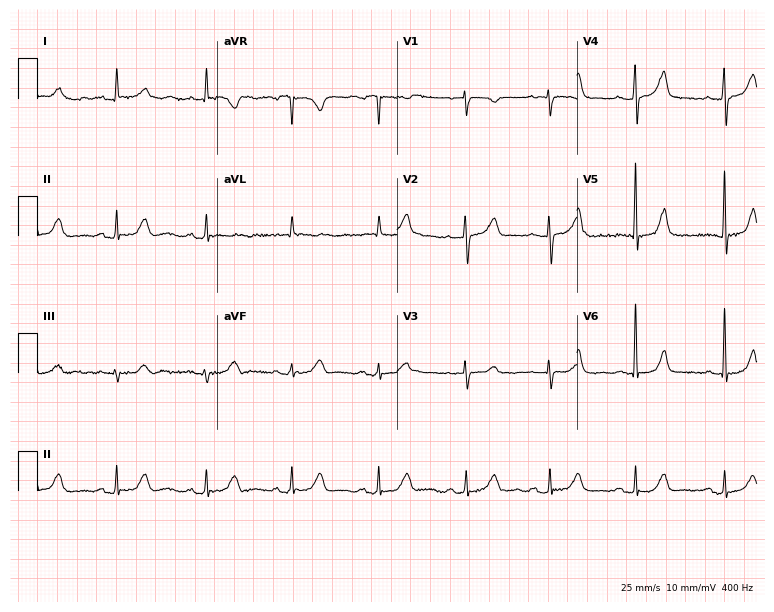
12-lead ECG (7.3-second recording at 400 Hz) from an 84-year-old man. Screened for six findings — first-degree AV block, right bundle branch block, left bundle branch block, sinus bradycardia, atrial fibrillation, sinus tachycardia — none is recorded.